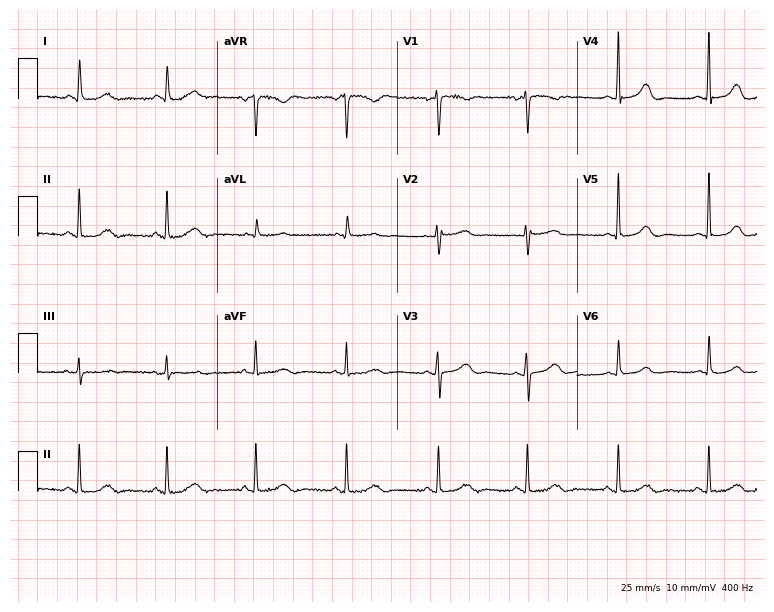
12-lead ECG from an 87-year-old female patient. Labelled as a normal ECG.